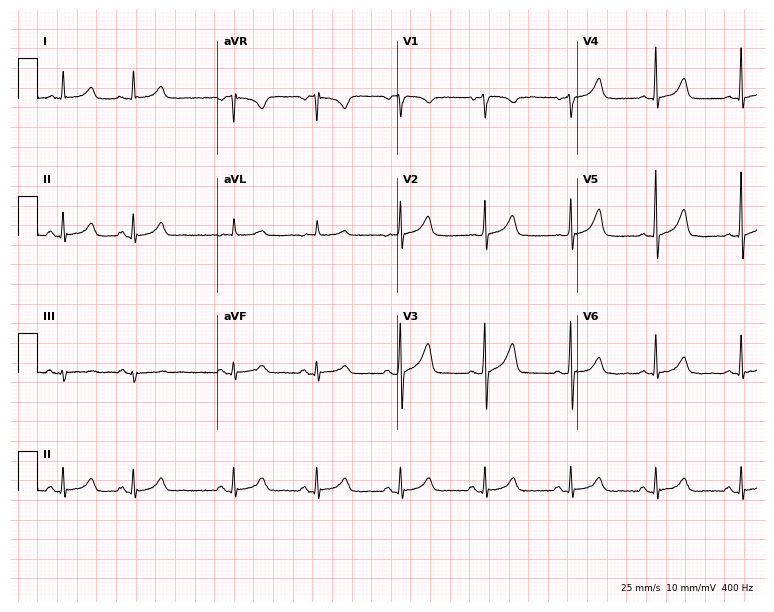
Standard 12-lead ECG recorded from a 79-year-old woman (7.3-second recording at 400 Hz). Read as a normal ECG.